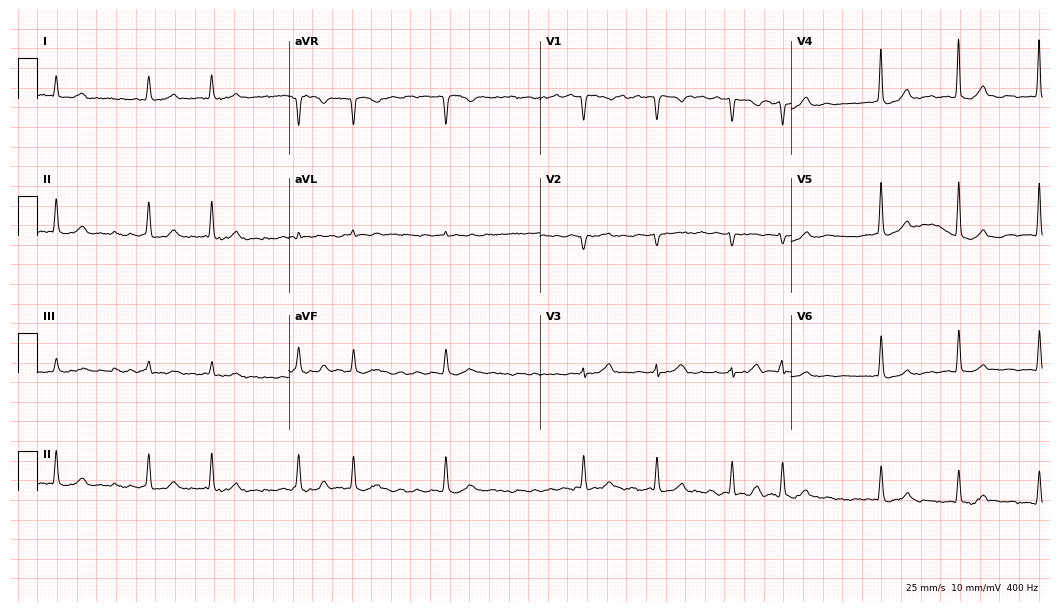
12-lead ECG from a female patient, 78 years old (10.2-second recording at 400 Hz). Shows first-degree AV block, atrial fibrillation.